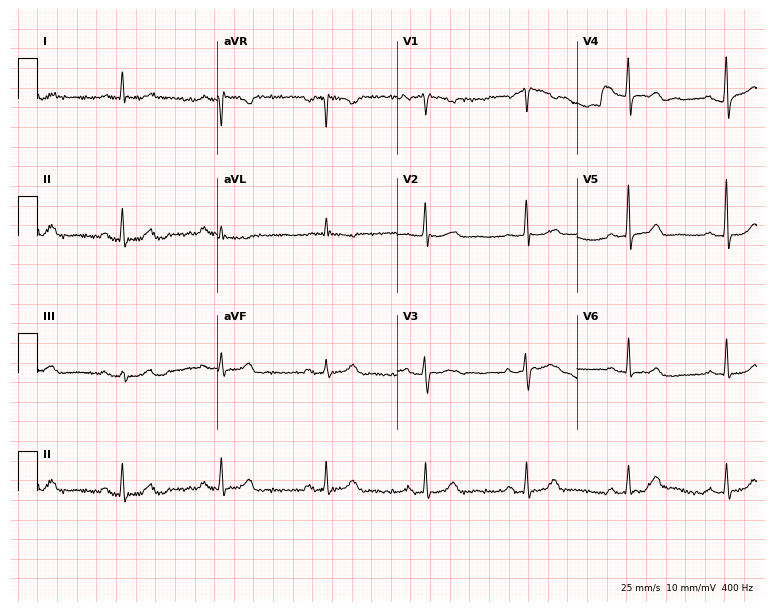
Electrocardiogram, a 65-year-old female. Of the six screened findings (first-degree AV block, right bundle branch block, left bundle branch block, sinus bradycardia, atrial fibrillation, sinus tachycardia), none is recorded. Other findings, if any, are not listed.